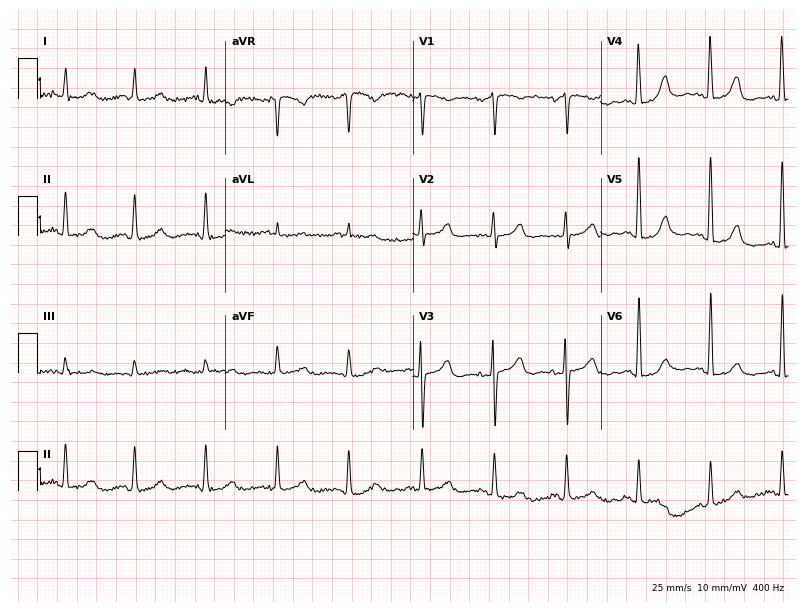
ECG (7.7-second recording at 400 Hz) — a female patient, 62 years old. Labelled as a normal ECG.